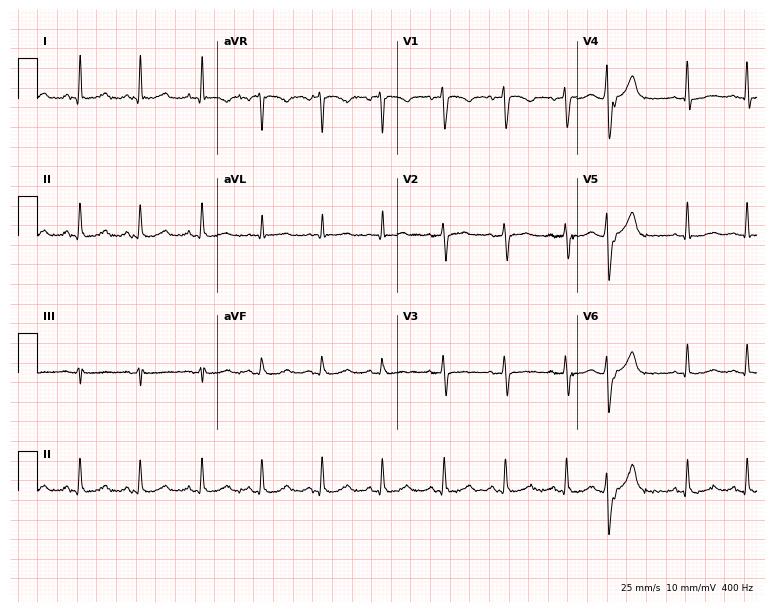
12-lead ECG from a 47-year-old female. Screened for six findings — first-degree AV block, right bundle branch block, left bundle branch block, sinus bradycardia, atrial fibrillation, sinus tachycardia — none is recorded.